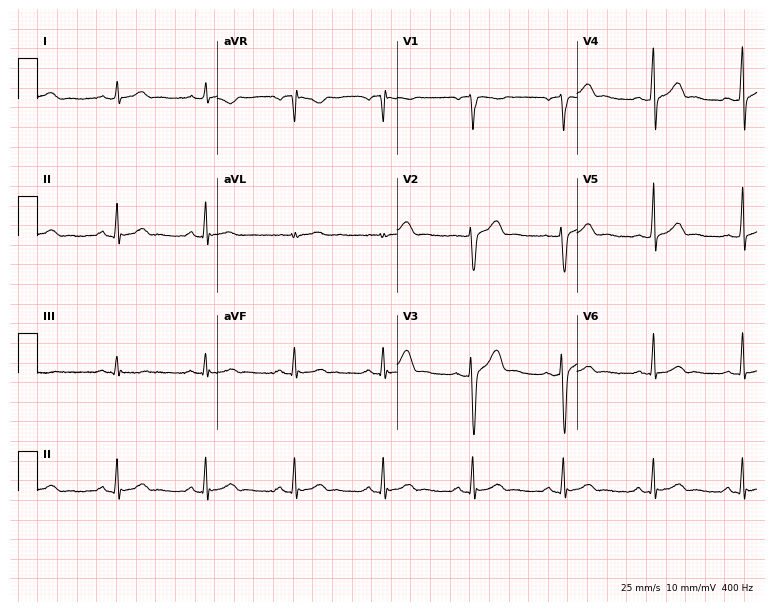
12-lead ECG from a man, 37 years old. Labelled as a normal ECG.